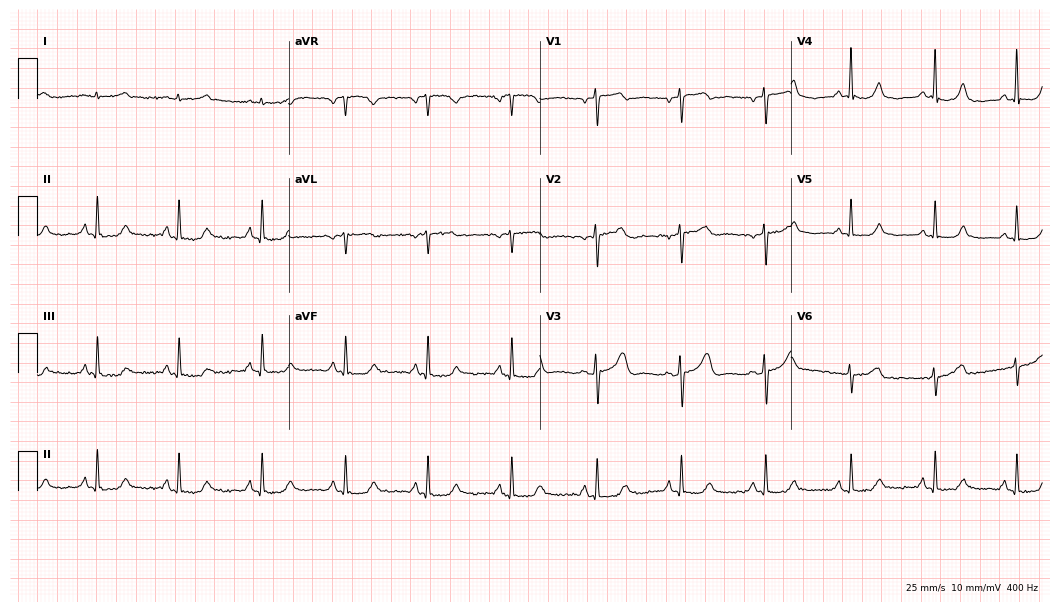
ECG — a woman, 47 years old. Screened for six findings — first-degree AV block, right bundle branch block (RBBB), left bundle branch block (LBBB), sinus bradycardia, atrial fibrillation (AF), sinus tachycardia — none is recorded. Other findings, if any, are not listed.